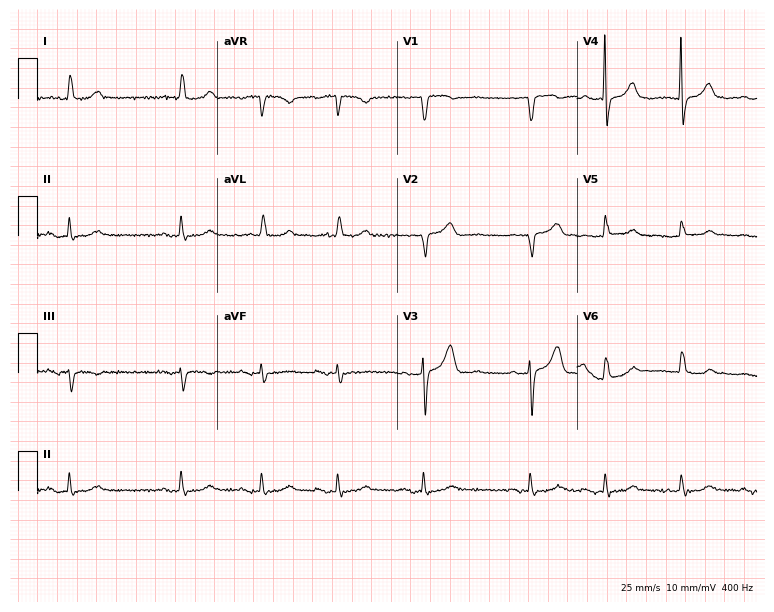
ECG — a 76-year-old female patient. Screened for six findings — first-degree AV block, right bundle branch block, left bundle branch block, sinus bradycardia, atrial fibrillation, sinus tachycardia — none is recorded. Other findings, if any, are not listed.